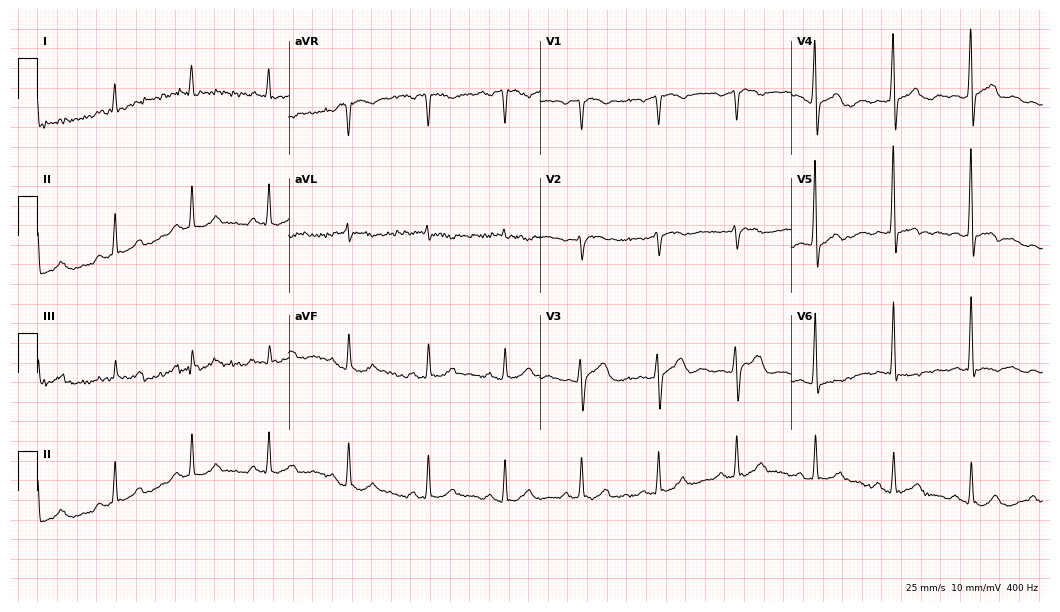
12-lead ECG from a man, 69 years old. Recorded interpretation: within normal limits.